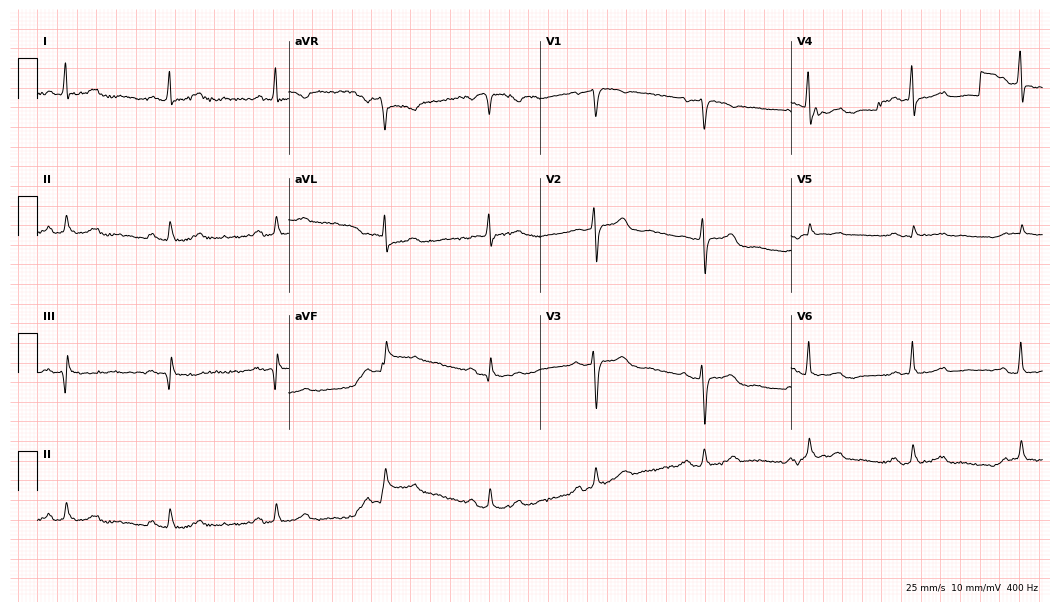
12-lead ECG from a female patient, 72 years old. No first-degree AV block, right bundle branch block (RBBB), left bundle branch block (LBBB), sinus bradycardia, atrial fibrillation (AF) or sinus tachycardia recorded for this tracing. Only these six findings were labelled.